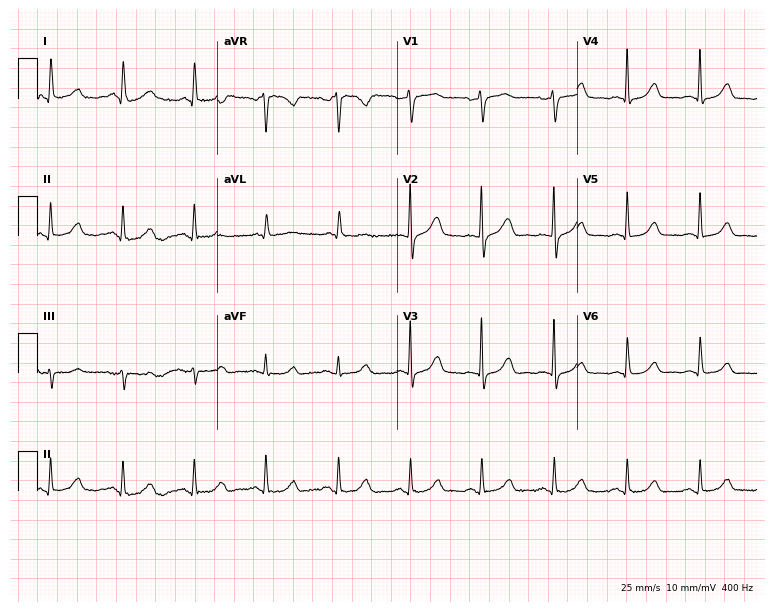
Standard 12-lead ECG recorded from a 68-year-old woman. Read as a normal ECG.